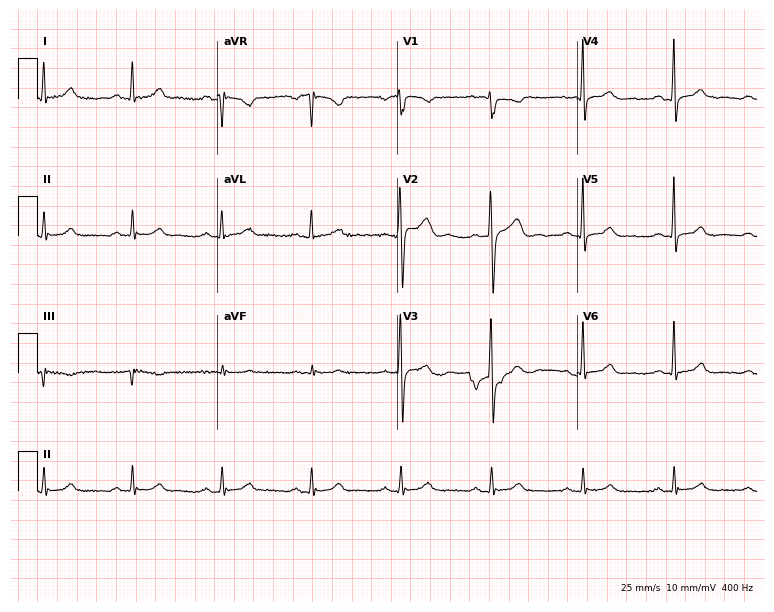
Standard 12-lead ECG recorded from a female patient, 55 years old. Read as a normal ECG.